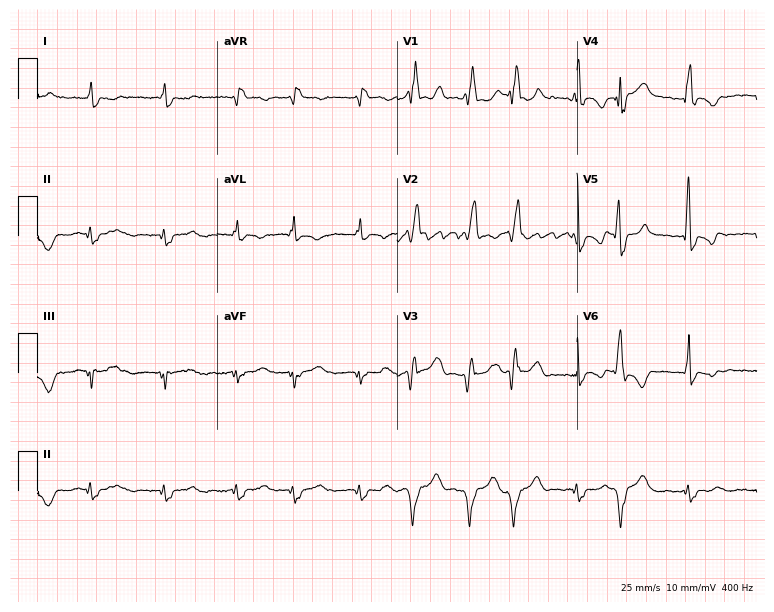
ECG — a 76-year-old female. Findings include right bundle branch block (RBBB), atrial fibrillation (AF).